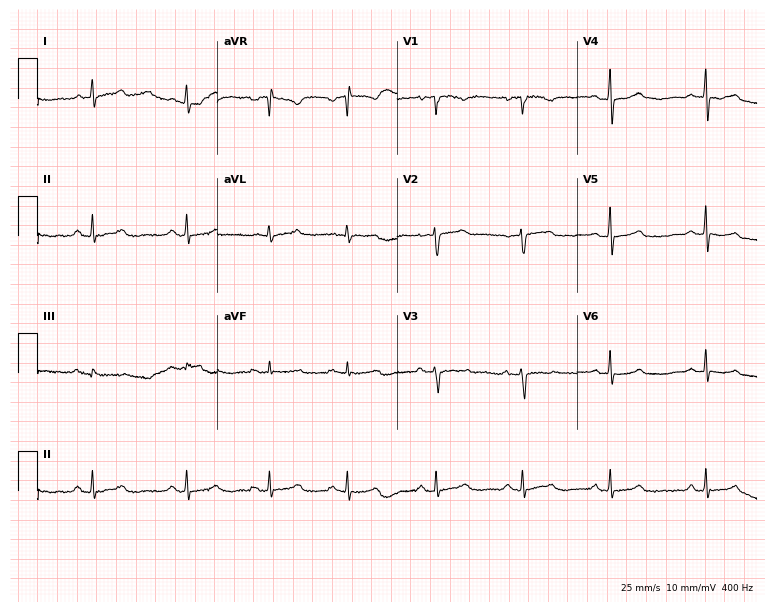
Standard 12-lead ECG recorded from a 41-year-old female. Read as a normal ECG.